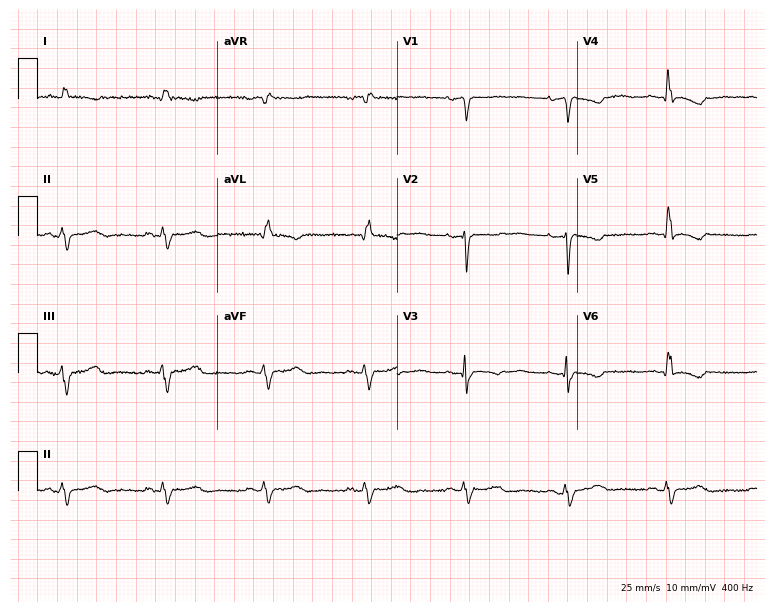
ECG (7.3-second recording at 400 Hz) — a woman, 58 years old. Screened for six findings — first-degree AV block, right bundle branch block (RBBB), left bundle branch block (LBBB), sinus bradycardia, atrial fibrillation (AF), sinus tachycardia — none is recorded. Findings outside these six are not listed.